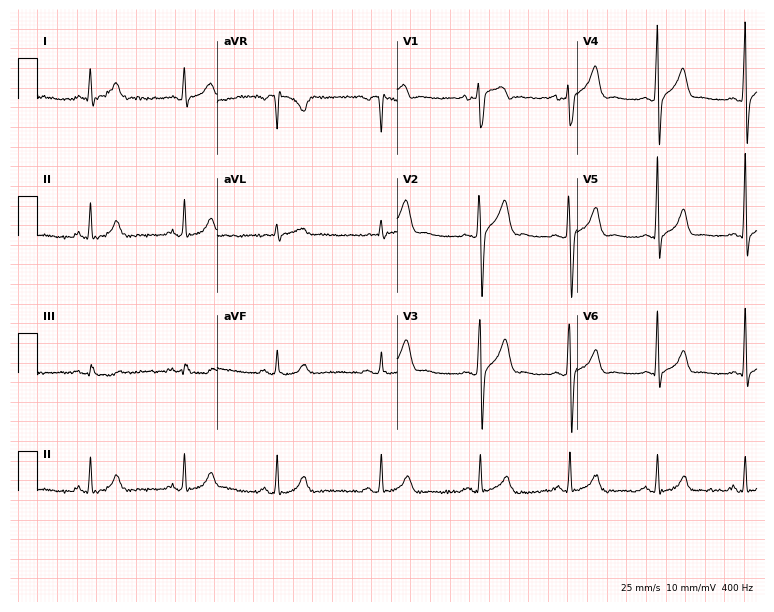
Standard 12-lead ECG recorded from a male, 29 years old. None of these six findings is recorded: first-degree AV block, right bundle branch block, left bundle branch block, sinus bradycardia, atrial fibrillation, sinus tachycardia. Other findings, if any, are not listed.